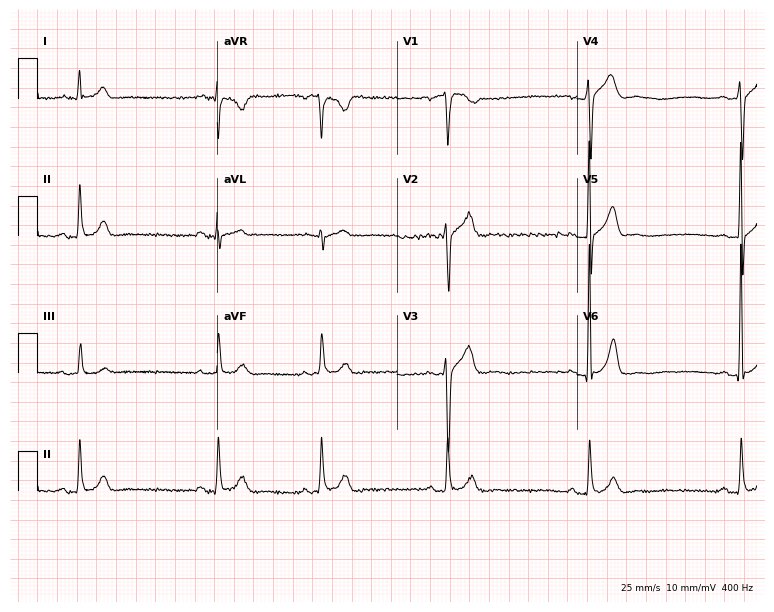
12-lead ECG from a 43-year-old male. No first-degree AV block, right bundle branch block, left bundle branch block, sinus bradycardia, atrial fibrillation or sinus tachycardia recorded for this tracing. Findings outside these six are not listed.